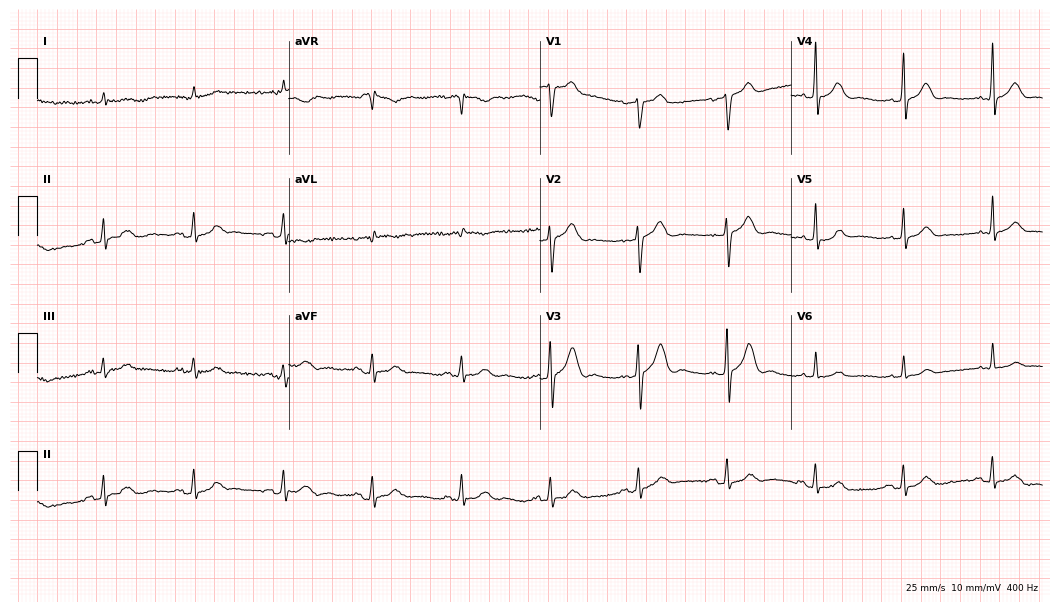
ECG (10.2-second recording at 400 Hz) — a male, 81 years old. Labelled as a normal ECG.